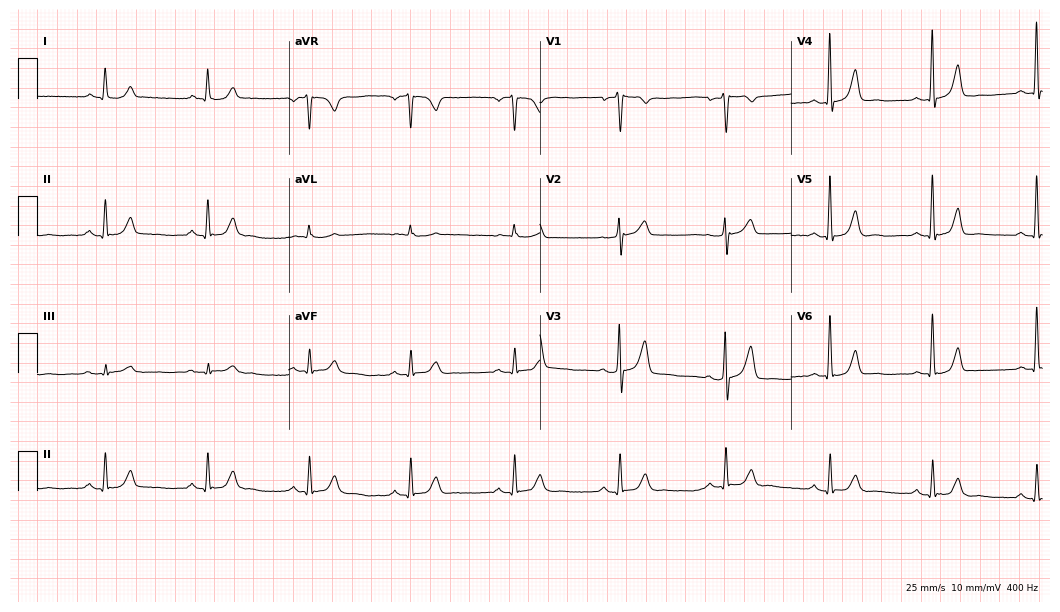
ECG (10.2-second recording at 400 Hz) — a man, 69 years old. Labelled as a normal ECG.